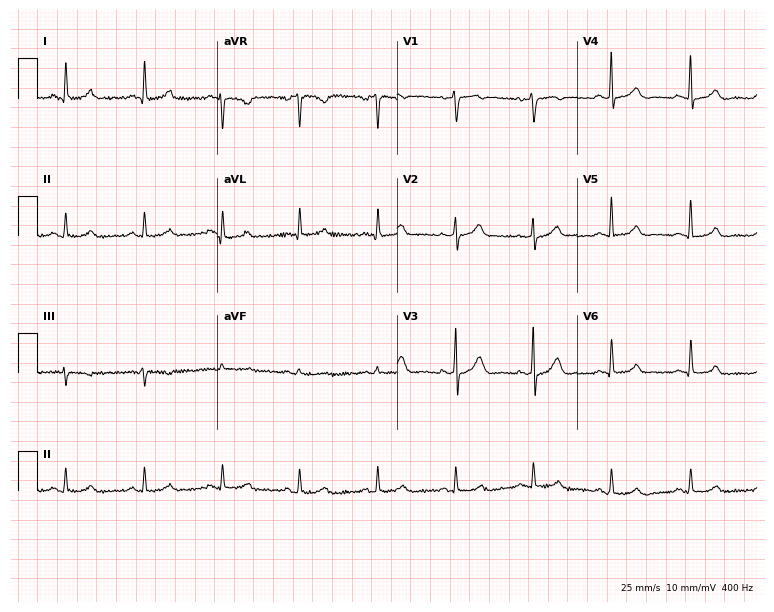
Electrocardiogram (7.3-second recording at 400 Hz), a 50-year-old woman. Of the six screened findings (first-degree AV block, right bundle branch block, left bundle branch block, sinus bradycardia, atrial fibrillation, sinus tachycardia), none is recorded.